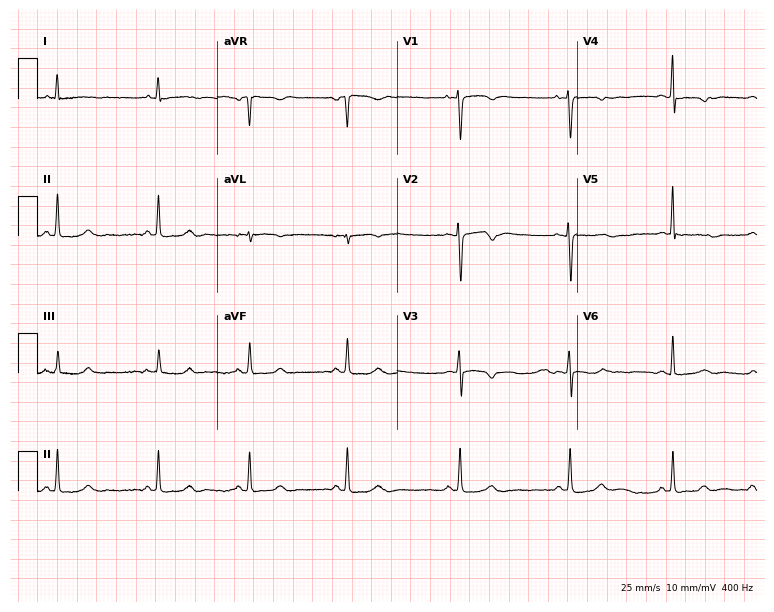
Electrocardiogram, a 31-year-old female. Of the six screened findings (first-degree AV block, right bundle branch block, left bundle branch block, sinus bradycardia, atrial fibrillation, sinus tachycardia), none is recorded. Other findings, if any, are not listed.